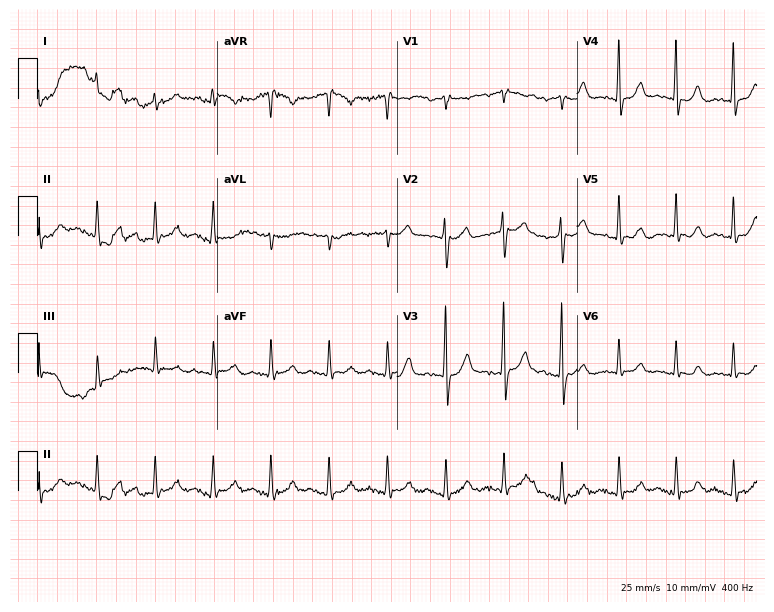
Resting 12-lead electrocardiogram (7.3-second recording at 400 Hz). Patient: a male, 71 years old. None of these six findings is recorded: first-degree AV block, right bundle branch block, left bundle branch block, sinus bradycardia, atrial fibrillation, sinus tachycardia.